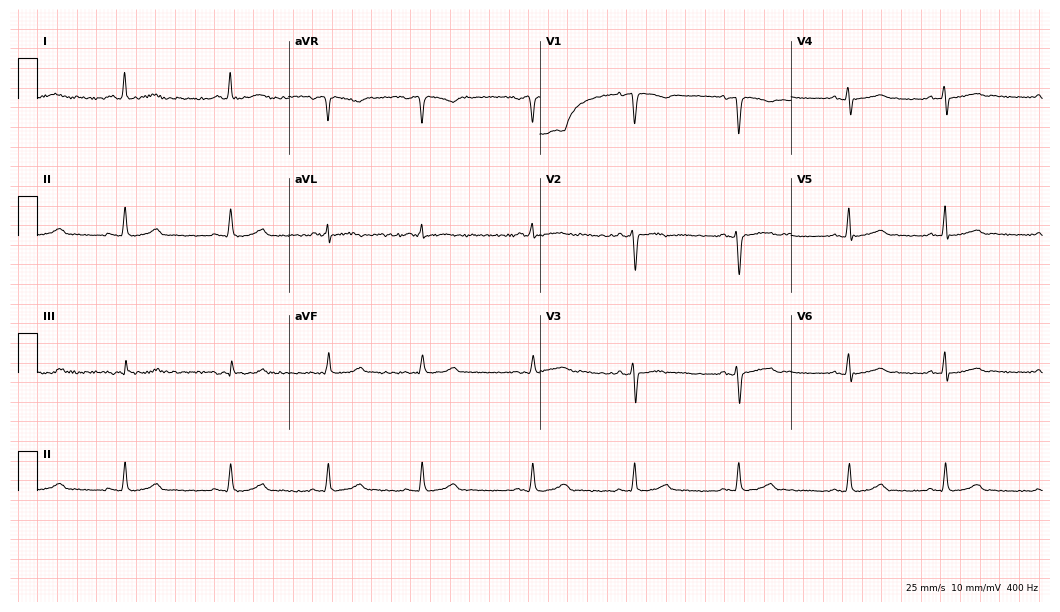
Electrocardiogram (10.2-second recording at 400 Hz), a 43-year-old female. Overall reading on record: normal ECG.